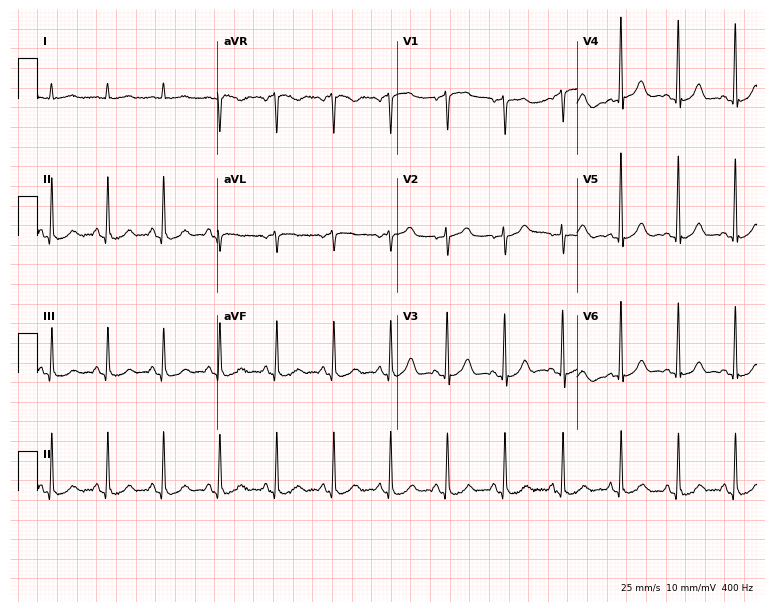
ECG (7.3-second recording at 400 Hz) — a female patient, 58 years old. Screened for six findings — first-degree AV block, right bundle branch block, left bundle branch block, sinus bradycardia, atrial fibrillation, sinus tachycardia — none is recorded. Findings outside these six are not listed.